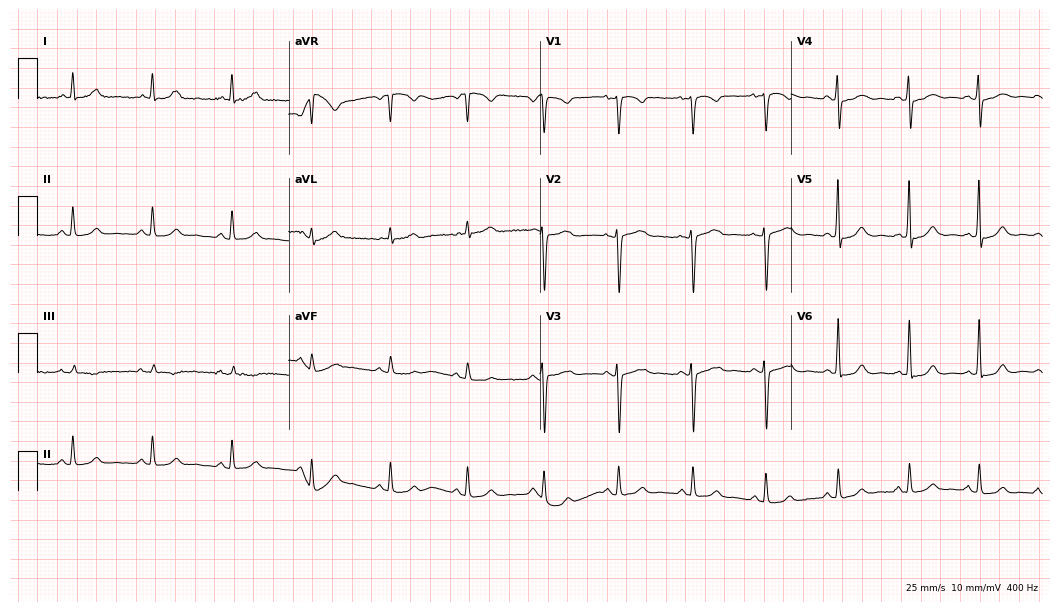
12-lead ECG from a 47-year-old female patient (10.2-second recording at 400 Hz). Recorded interpretation: within normal limits.